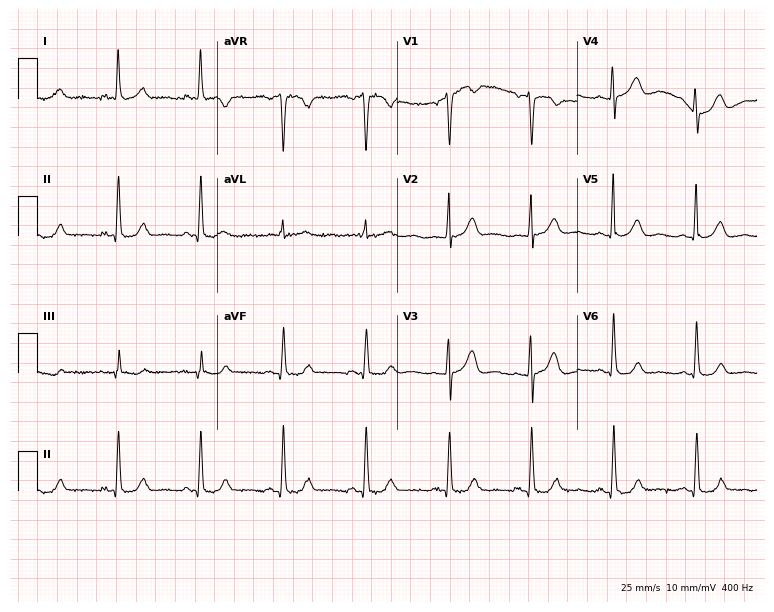
ECG — a female, 73 years old. Labelled as a normal ECG.